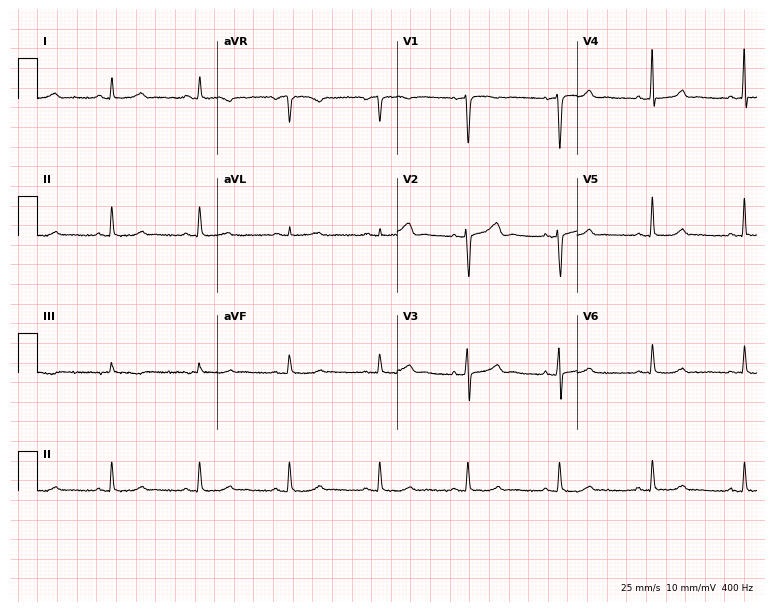
Resting 12-lead electrocardiogram (7.3-second recording at 400 Hz). Patient: a 42-year-old female. Read as a normal ECG.